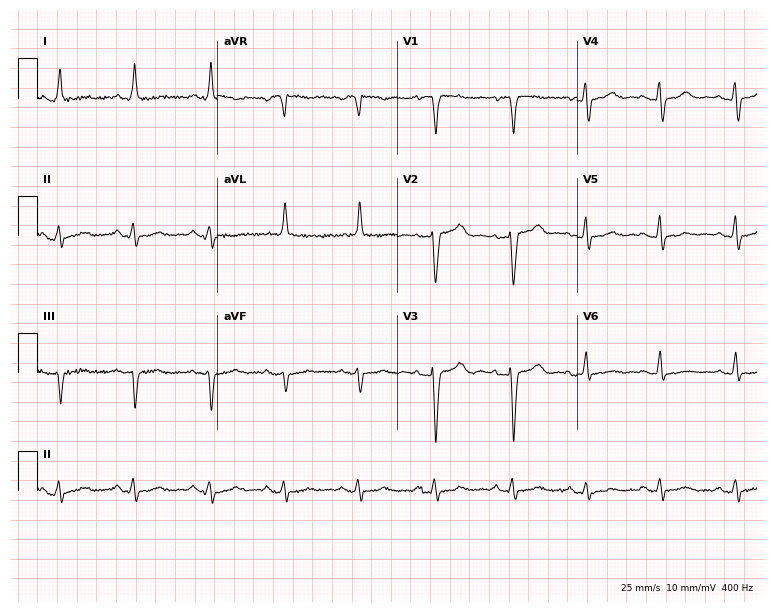
Standard 12-lead ECG recorded from a 44-year-old woman. Read as a normal ECG.